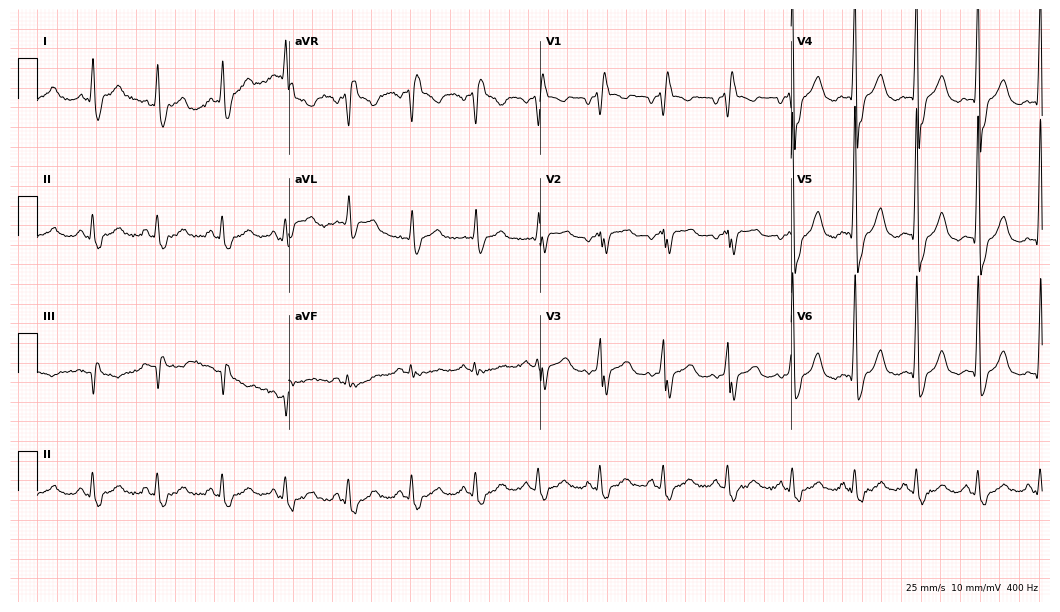
12-lead ECG from a man, 80 years old. Findings include right bundle branch block (RBBB).